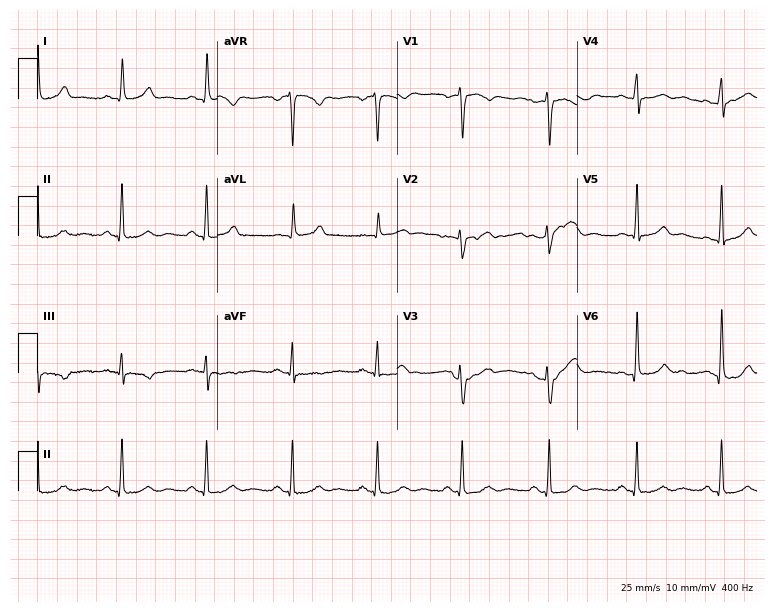
Resting 12-lead electrocardiogram (7.3-second recording at 400 Hz). Patient: a female, 55 years old. Read as a normal ECG.